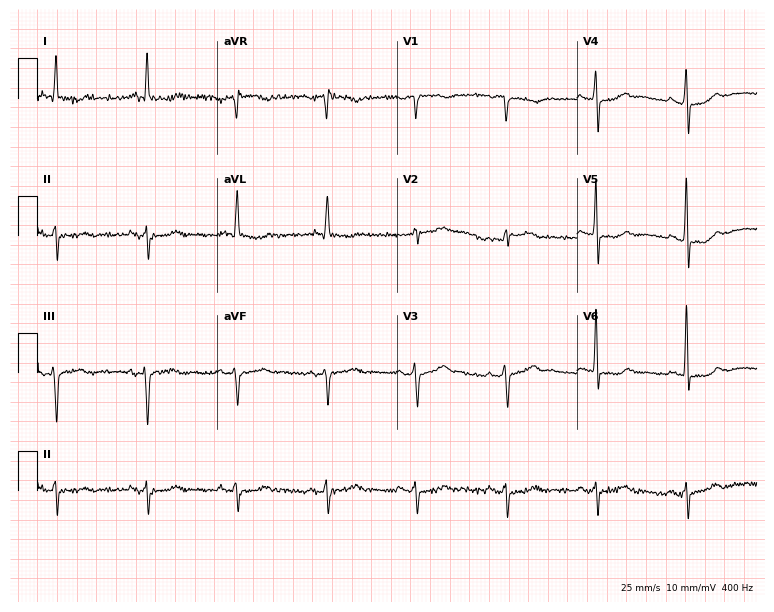
12-lead ECG (7.3-second recording at 400 Hz) from a 73-year-old male. Screened for six findings — first-degree AV block, right bundle branch block, left bundle branch block, sinus bradycardia, atrial fibrillation, sinus tachycardia — none is recorded. Other findings, if any, are not listed.